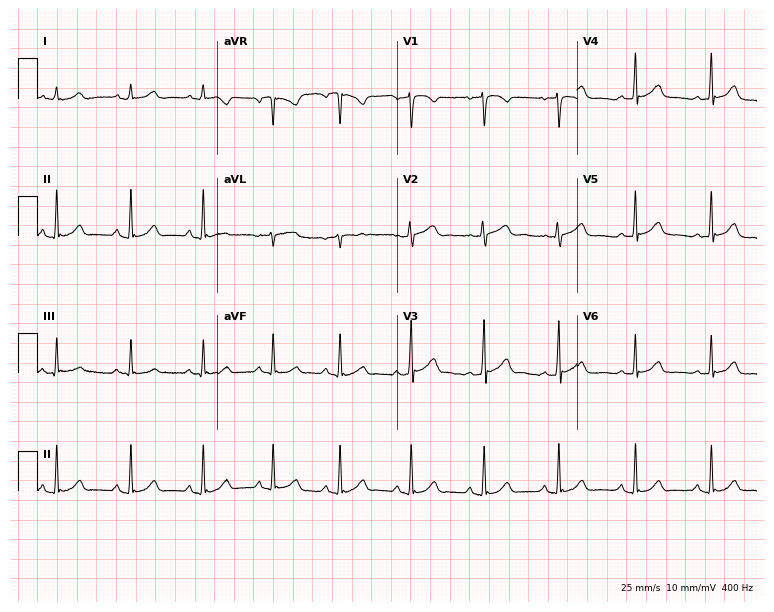
Resting 12-lead electrocardiogram (7.3-second recording at 400 Hz). Patient: a woman, 17 years old. Read as a normal ECG.